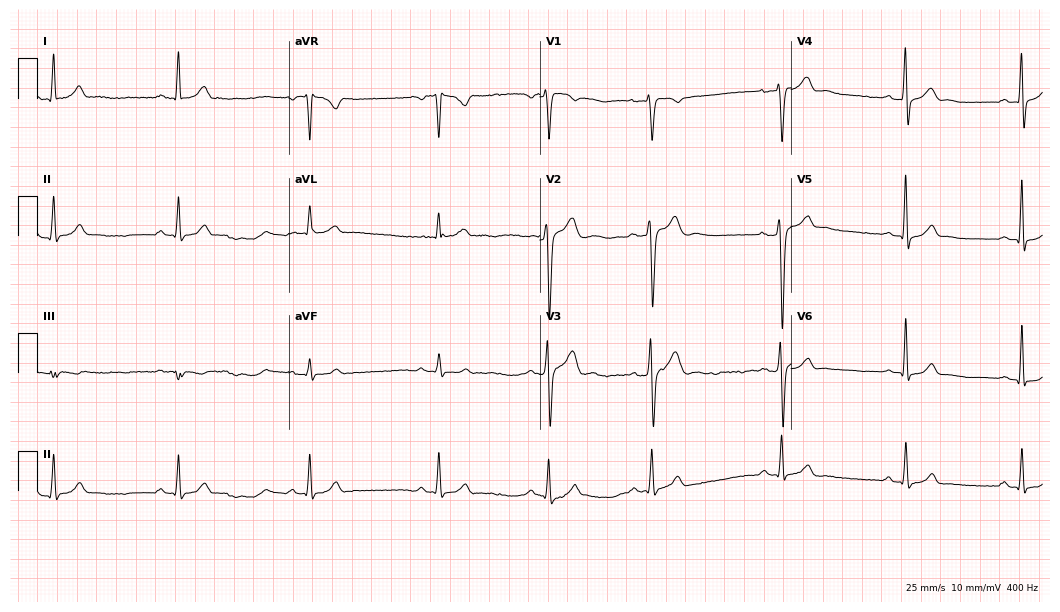
12-lead ECG from a man, 21 years old. Screened for six findings — first-degree AV block, right bundle branch block, left bundle branch block, sinus bradycardia, atrial fibrillation, sinus tachycardia — none is recorded.